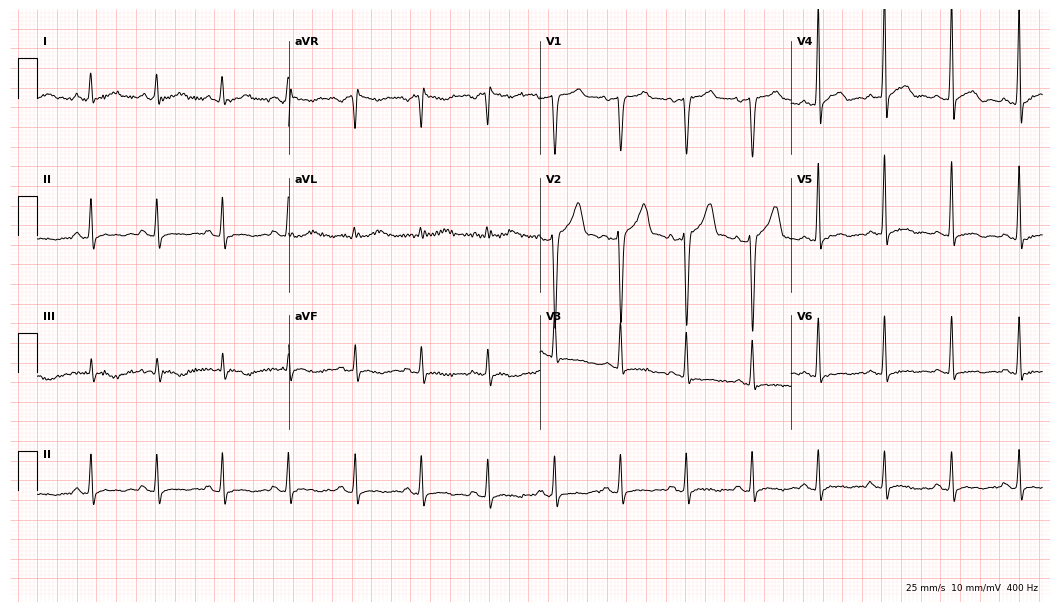
12-lead ECG from a 30-year-old male. No first-degree AV block, right bundle branch block (RBBB), left bundle branch block (LBBB), sinus bradycardia, atrial fibrillation (AF) or sinus tachycardia recorded for this tracing.